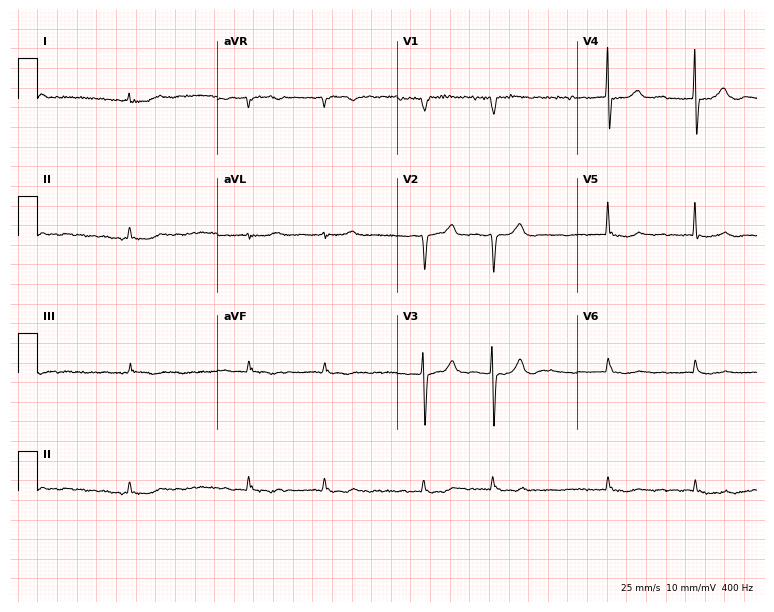
Electrocardiogram, a male patient, 79 years old. Interpretation includes atrial fibrillation.